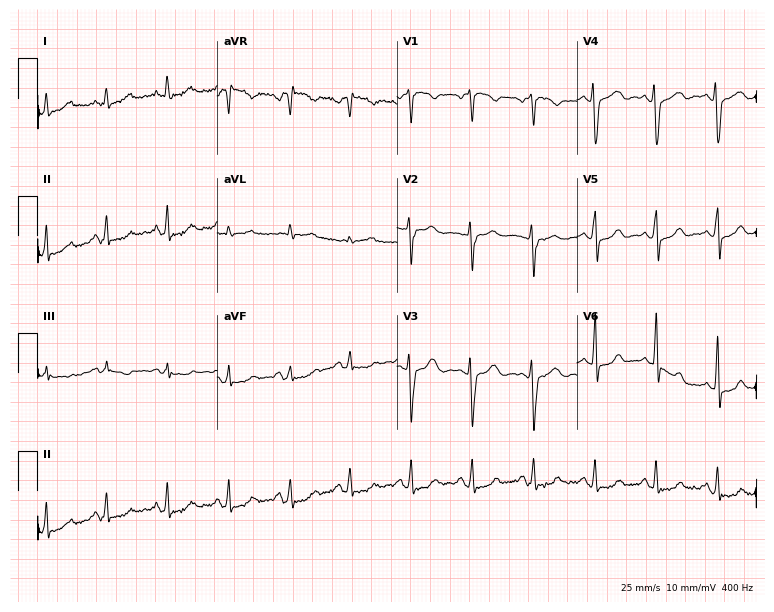
Standard 12-lead ECG recorded from a 30-year-old female. None of these six findings is recorded: first-degree AV block, right bundle branch block, left bundle branch block, sinus bradycardia, atrial fibrillation, sinus tachycardia.